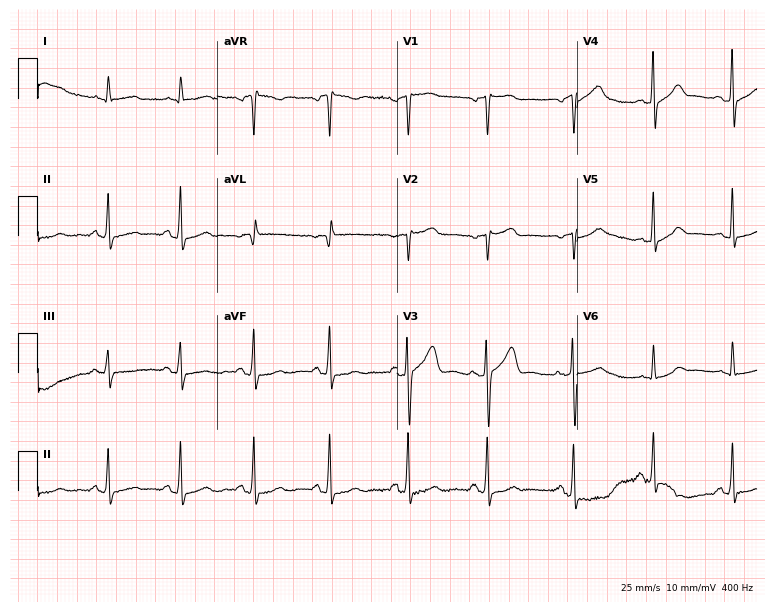
12-lead ECG from a 64-year-old female patient. No first-degree AV block, right bundle branch block, left bundle branch block, sinus bradycardia, atrial fibrillation or sinus tachycardia recorded for this tracing.